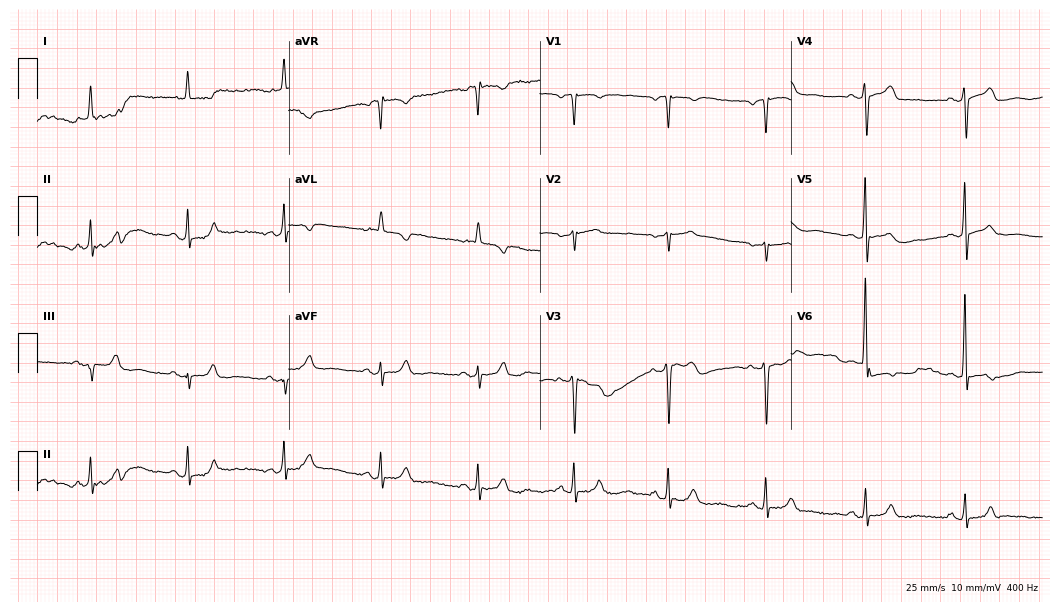
Electrocardiogram (10.2-second recording at 400 Hz), a woman, 80 years old. Overall reading on record: normal ECG.